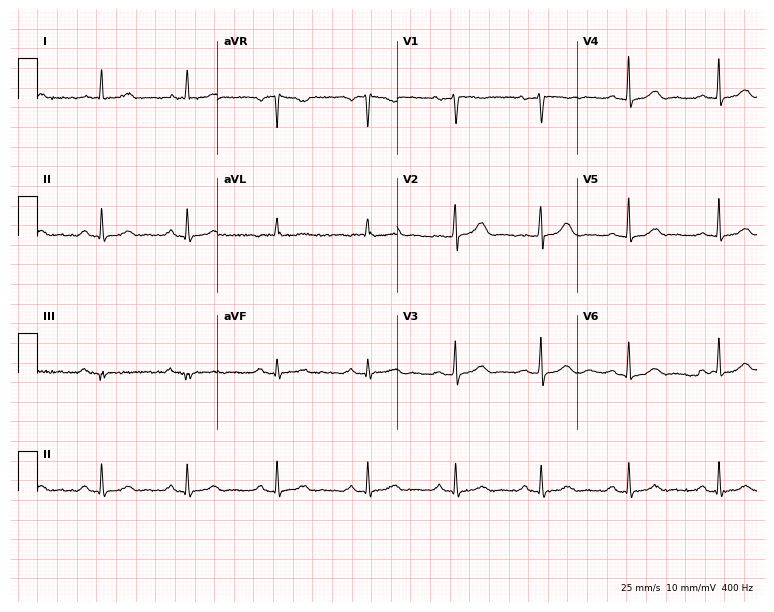
12-lead ECG from a female patient, 45 years old. Screened for six findings — first-degree AV block, right bundle branch block (RBBB), left bundle branch block (LBBB), sinus bradycardia, atrial fibrillation (AF), sinus tachycardia — none is recorded.